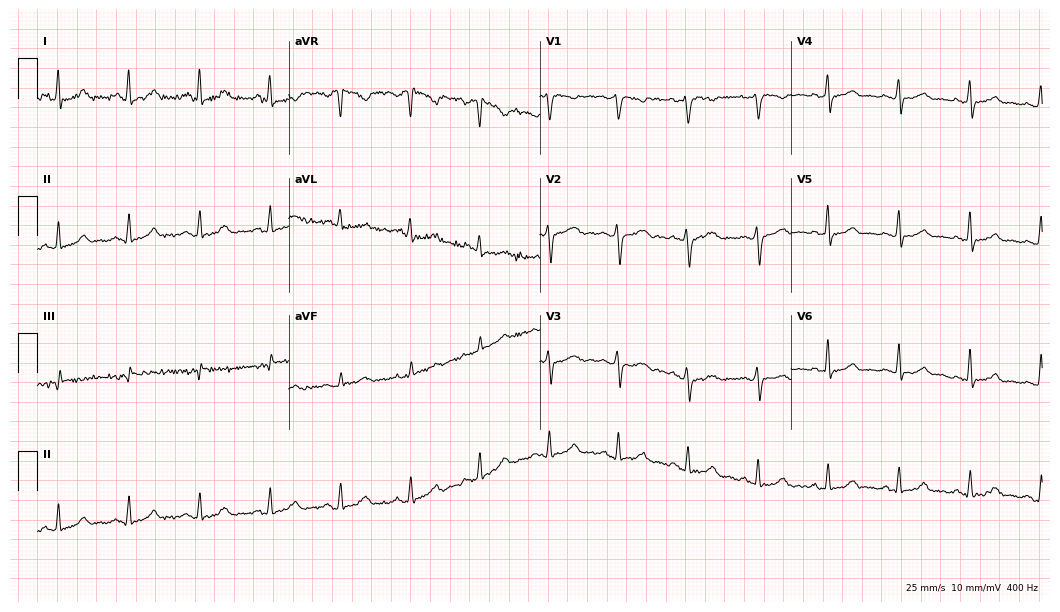
12-lead ECG (10.2-second recording at 400 Hz) from a female, 43 years old. Screened for six findings — first-degree AV block, right bundle branch block, left bundle branch block, sinus bradycardia, atrial fibrillation, sinus tachycardia — none is recorded. Findings outside these six are not listed.